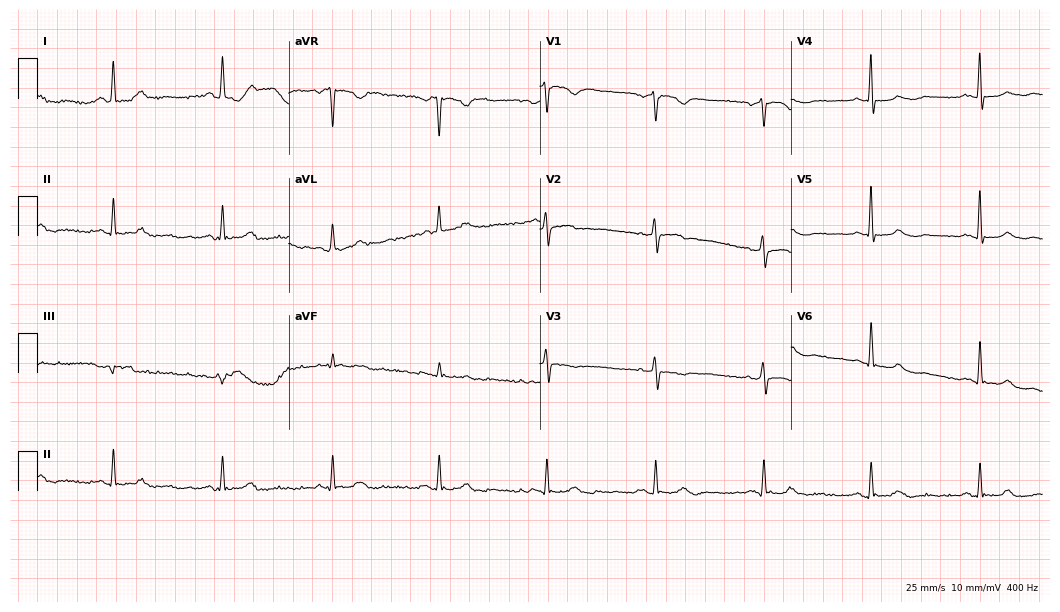
12-lead ECG from a 60-year-old woman. Screened for six findings — first-degree AV block, right bundle branch block, left bundle branch block, sinus bradycardia, atrial fibrillation, sinus tachycardia — none is recorded. Other findings, if any, are not listed.